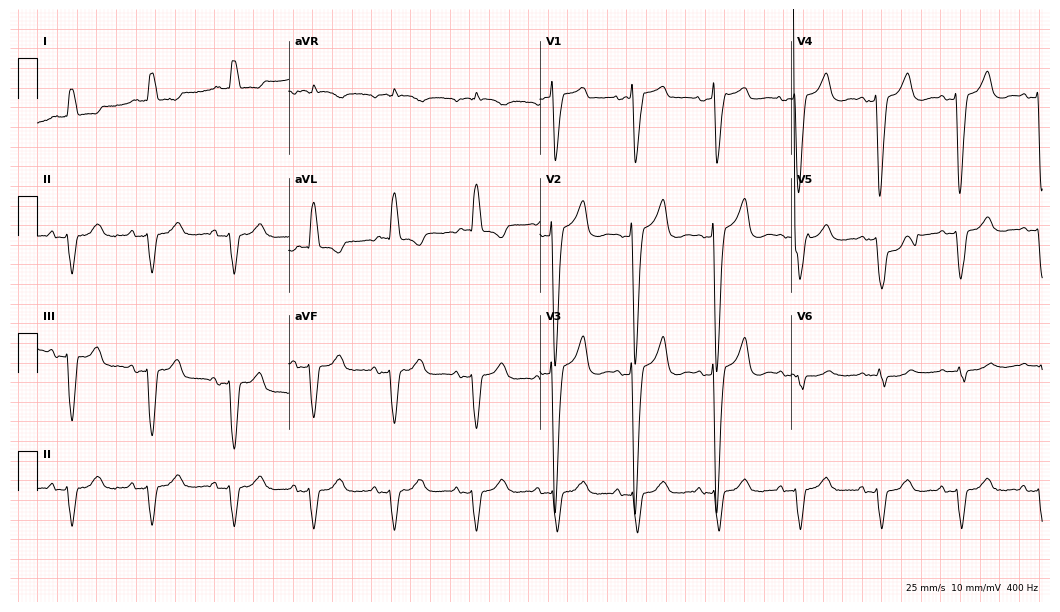
Resting 12-lead electrocardiogram. Patient: a female, 83 years old. The tracing shows left bundle branch block.